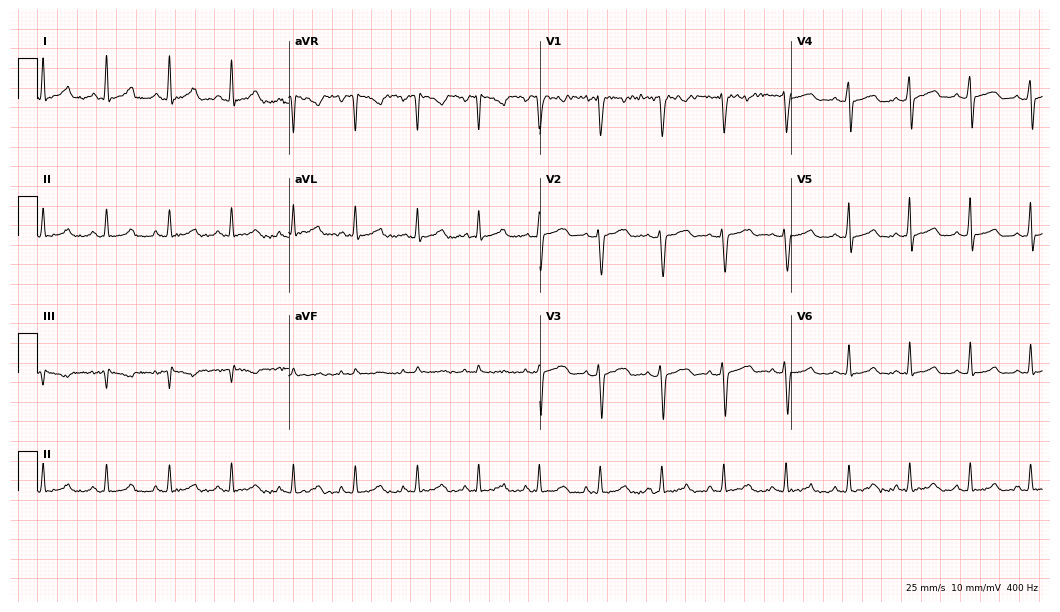
Resting 12-lead electrocardiogram. Patient: a female, 23 years old. None of these six findings is recorded: first-degree AV block, right bundle branch block (RBBB), left bundle branch block (LBBB), sinus bradycardia, atrial fibrillation (AF), sinus tachycardia. Only these six findings were labelled.